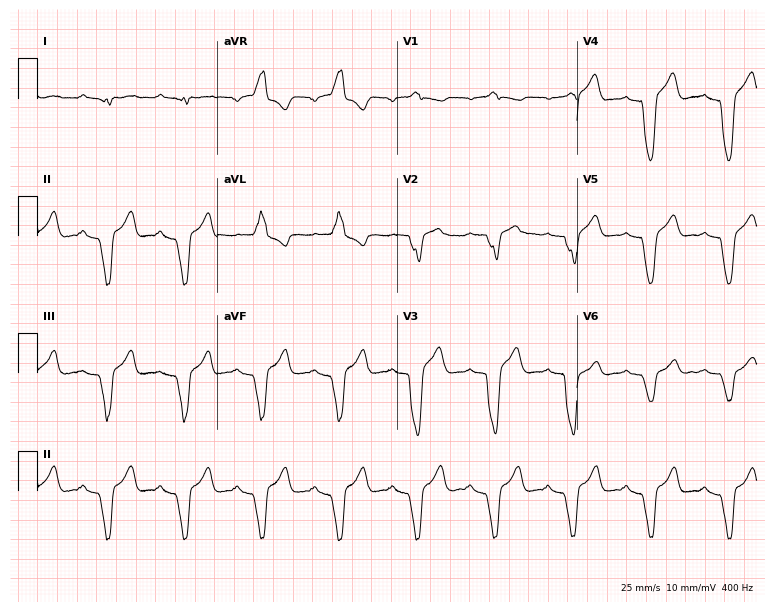
ECG (7.3-second recording at 400 Hz) — a man, 77 years old. Screened for six findings — first-degree AV block, right bundle branch block, left bundle branch block, sinus bradycardia, atrial fibrillation, sinus tachycardia — none is recorded.